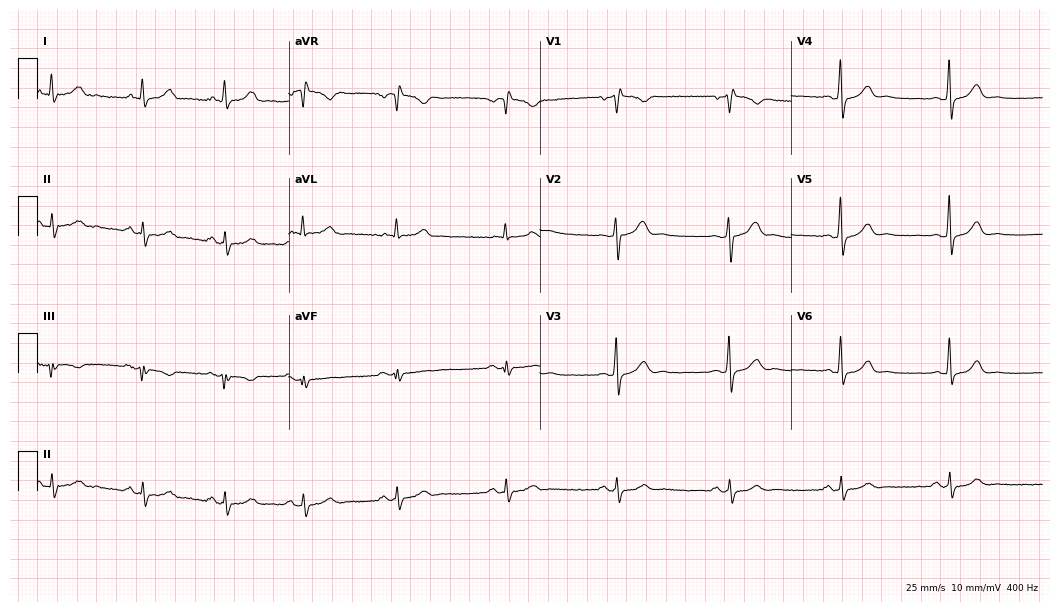
Electrocardiogram (10.2-second recording at 400 Hz), a 55-year-old man. Of the six screened findings (first-degree AV block, right bundle branch block, left bundle branch block, sinus bradycardia, atrial fibrillation, sinus tachycardia), none is recorded. Other findings, if any, are not listed.